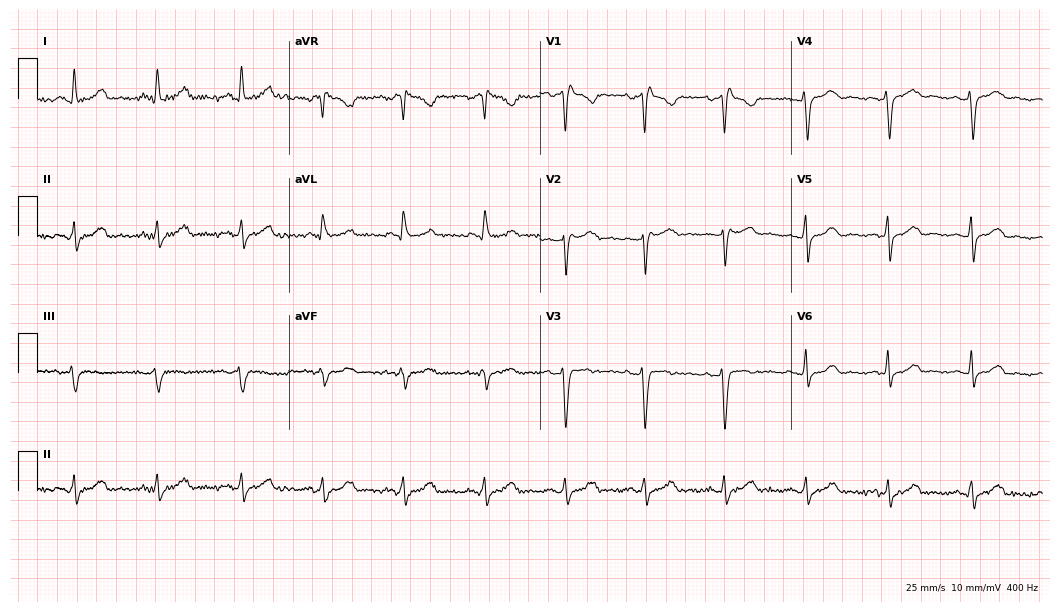
12-lead ECG from a female patient, 51 years old (10.2-second recording at 400 Hz). No first-degree AV block, right bundle branch block, left bundle branch block, sinus bradycardia, atrial fibrillation or sinus tachycardia recorded for this tracing. Only these six findings were labelled.